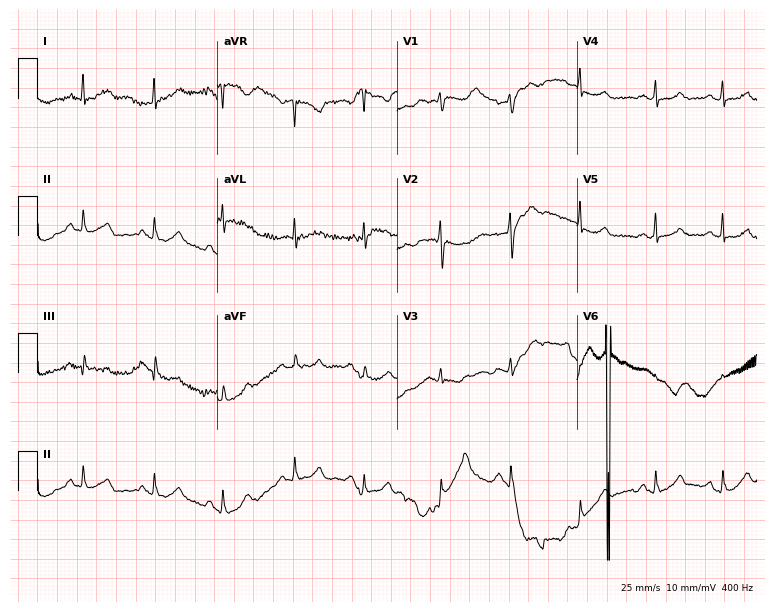
Resting 12-lead electrocardiogram. Patient: a 62-year-old woman. Read as a normal ECG.